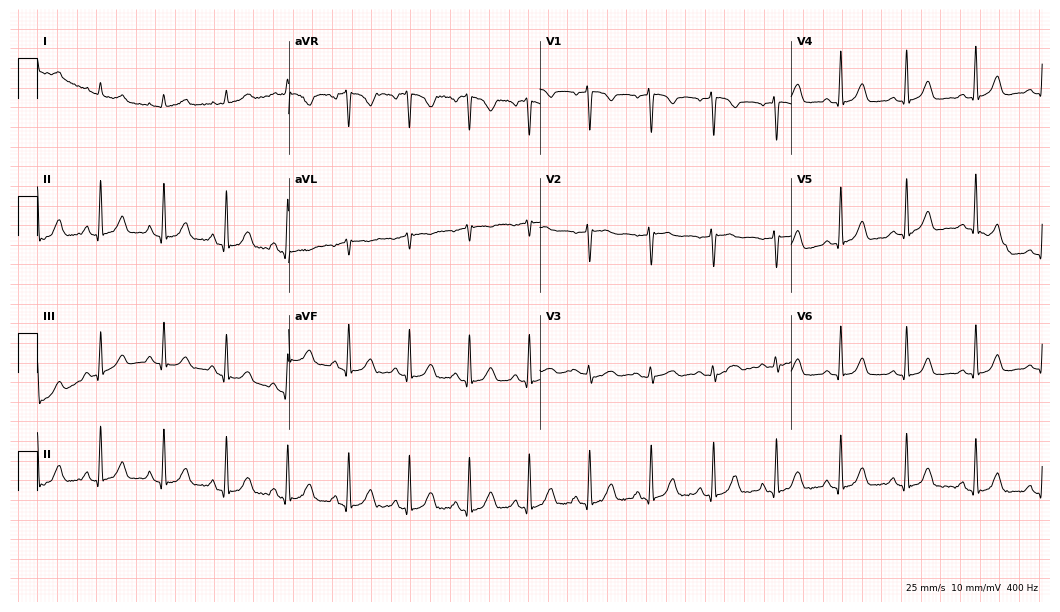
12-lead ECG (10.2-second recording at 400 Hz) from a 43-year-old female. Labelled as a normal ECG.